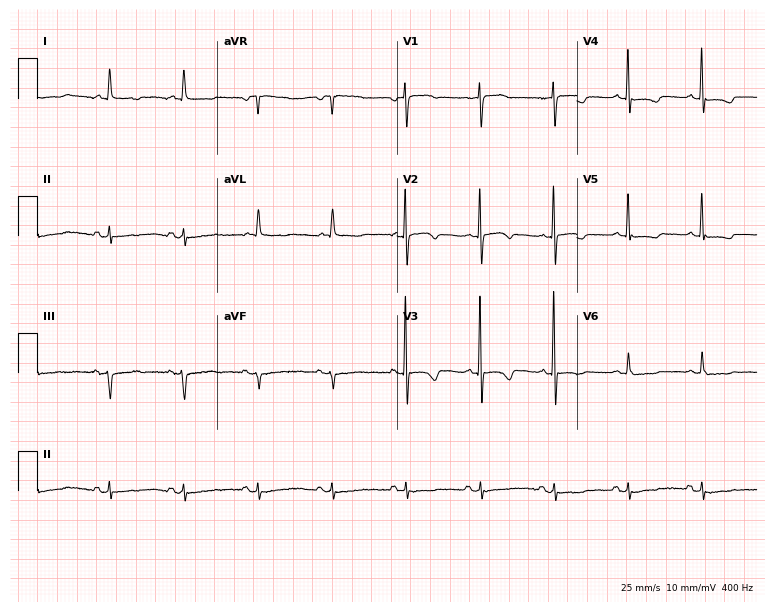
ECG (7.3-second recording at 400 Hz) — a female, 81 years old. Screened for six findings — first-degree AV block, right bundle branch block, left bundle branch block, sinus bradycardia, atrial fibrillation, sinus tachycardia — none is recorded. Only these six findings were labelled.